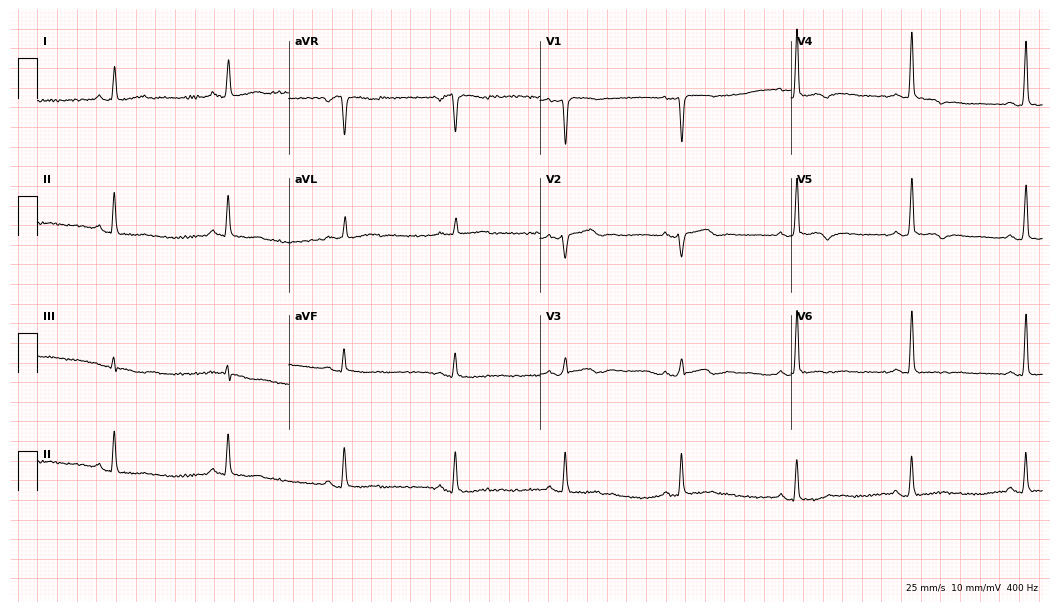
Electrocardiogram (10.2-second recording at 400 Hz), a 41-year-old female patient. Of the six screened findings (first-degree AV block, right bundle branch block, left bundle branch block, sinus bradycardia, atrial fibrillation, sinus tachycardia), none is recorded. Findings outside these six are not listed.